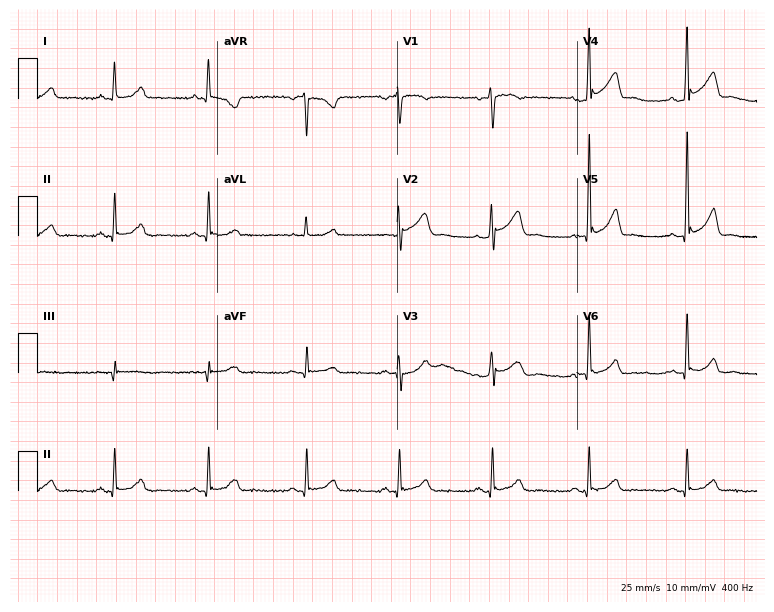
Resting 12-lead electrocardiogram (7.3-second recording at 400 Hz). Patient: a 48-year-old man. None of these six findings is recorded: first-degree AV block, right bundle branch block, left bundle branch block, sinus bradycardia, atrial fibrillation, sinus tachycardia.